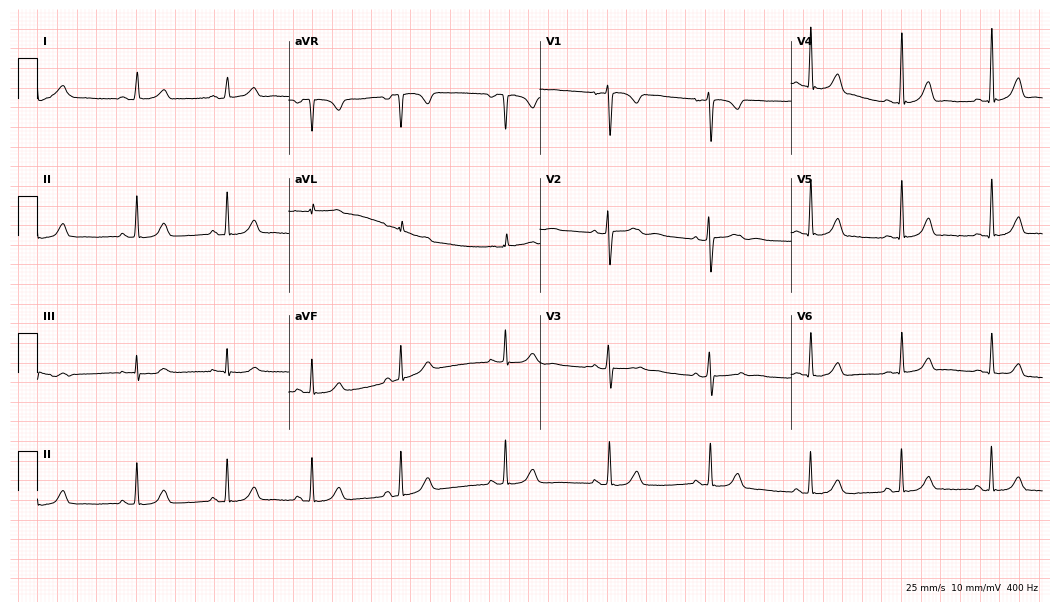
12-lead ECG from a woman, 19 years old. Recorded interpretation: within normal limits.